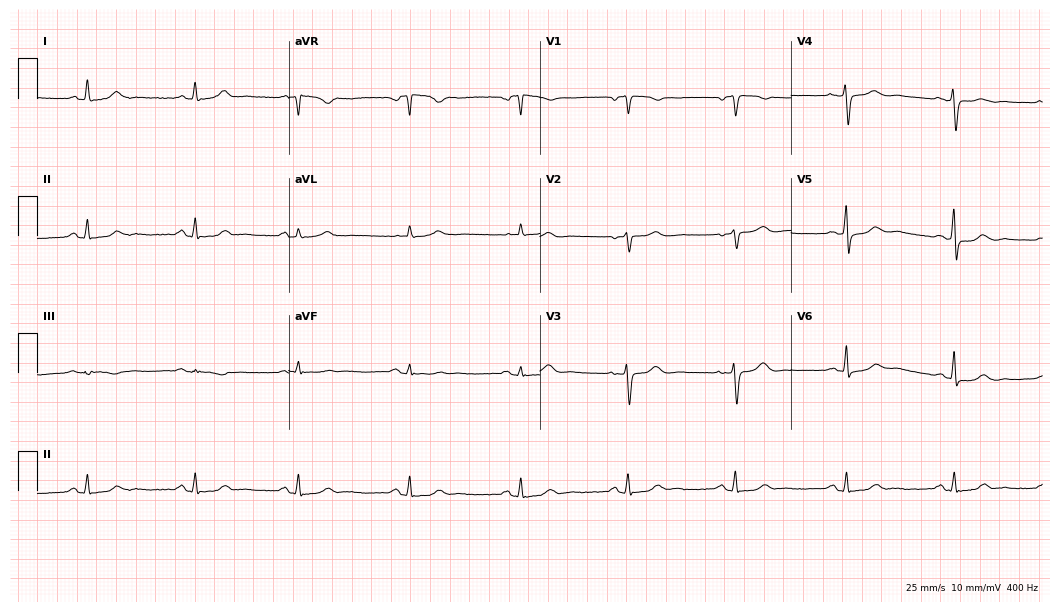
12-lead ECG (10.2-second recording at 400 Hz) from a female, 60 years old. Labelled as a normal ECG.